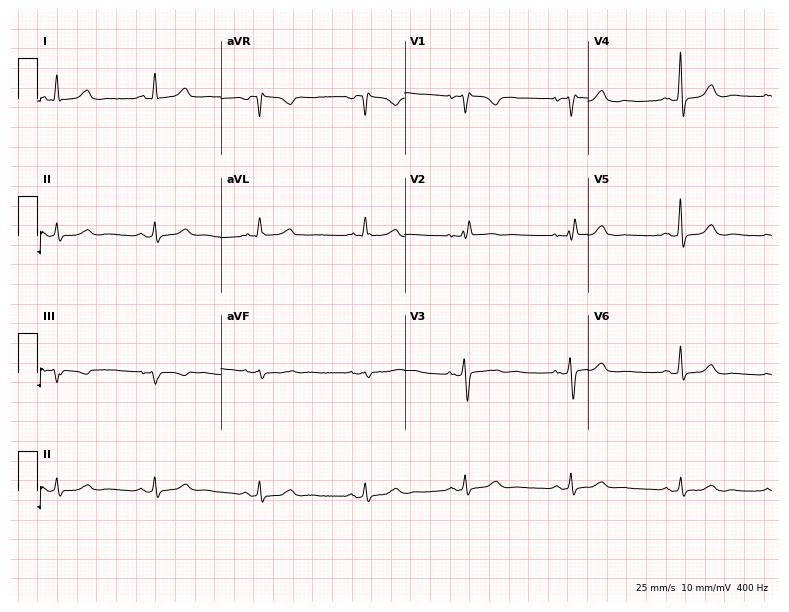
Electrocardiogram, a 47-year-old female. Of the six screened findings (first-degree AV block, right bundle branch block (RBBB), left bundle branch block (LBBB), sinus bradycardia, atrial fibrillation (AF), sinus tachycardia), none is recorded. Findings outside these six are not listed.